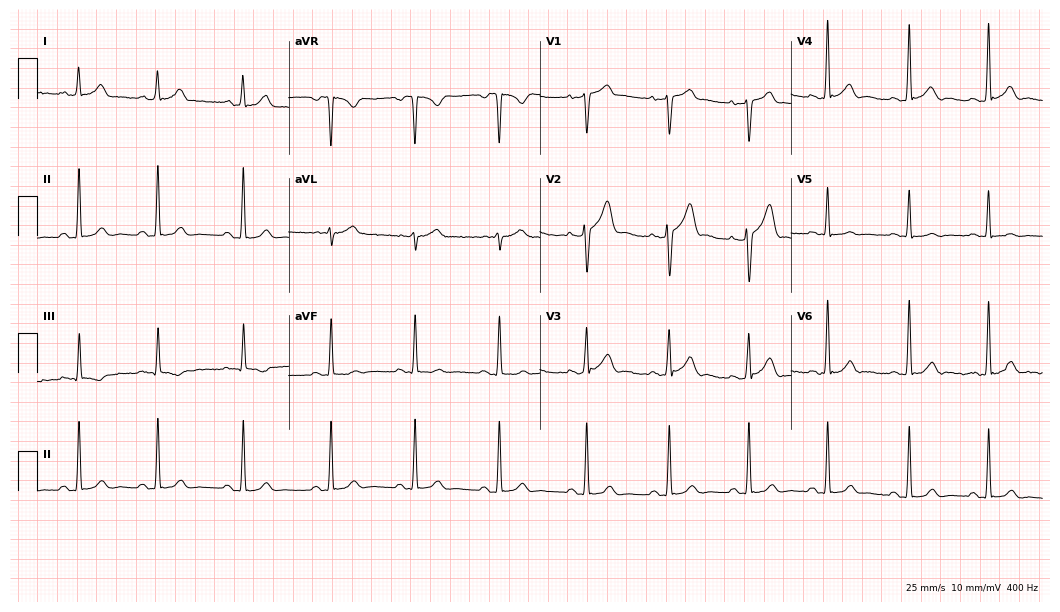
Standard 12-lead ECG recorded from a male, 30 years old (10.2-second recording at 400 Hz). Read as a normal ECG.